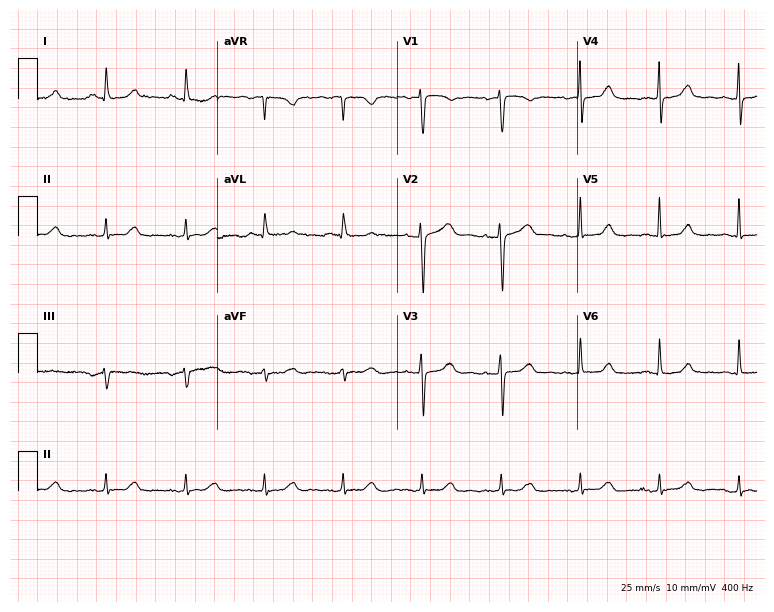
ECG (7.3-second recording at 400 Hz) — a 66-year-old female patient. Labelled as a normal ECG.